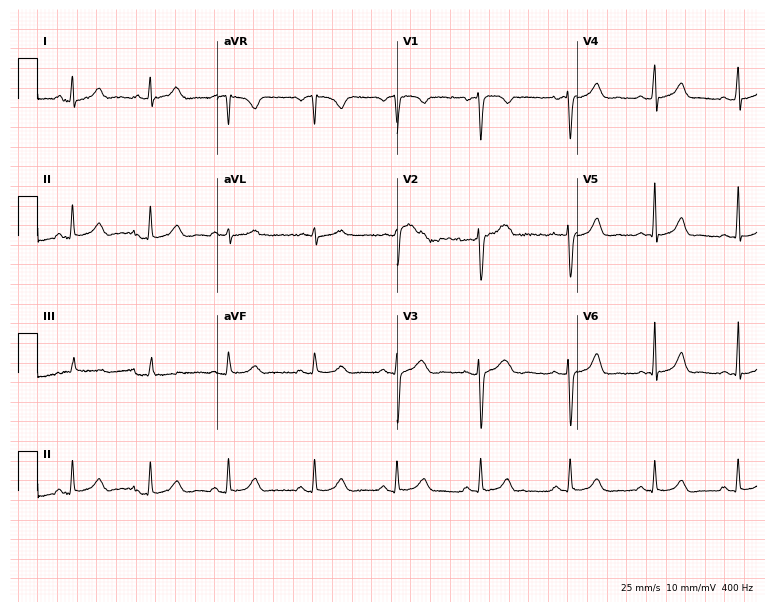
Electrocardiogram, a 37-year-old female patient. Overall reading on record: normal ECG.